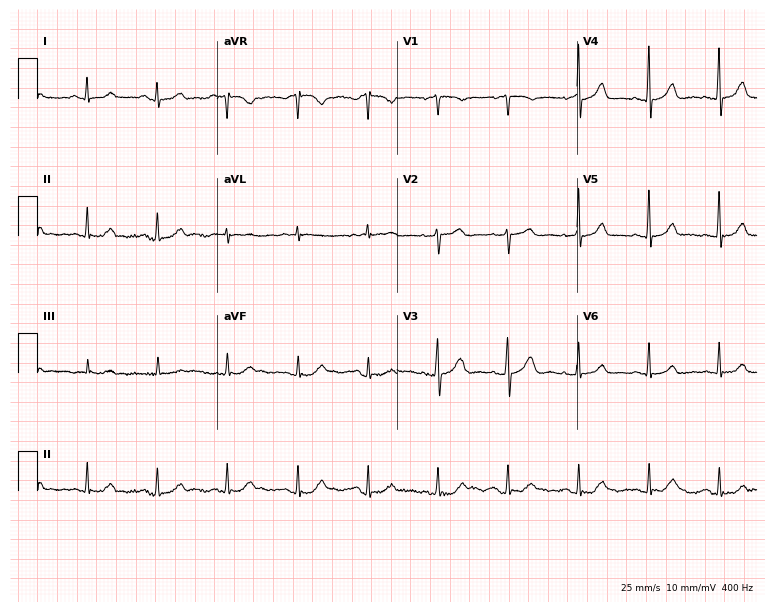
12-lead ECG from a woman, 61 years old. No first-degree AV block, right bundle branch block, left bundle branch block, sinus bradycardia, atrial fibrillation or sinus tachycardia recorded for this tracing. Findings outside these six are not listed.